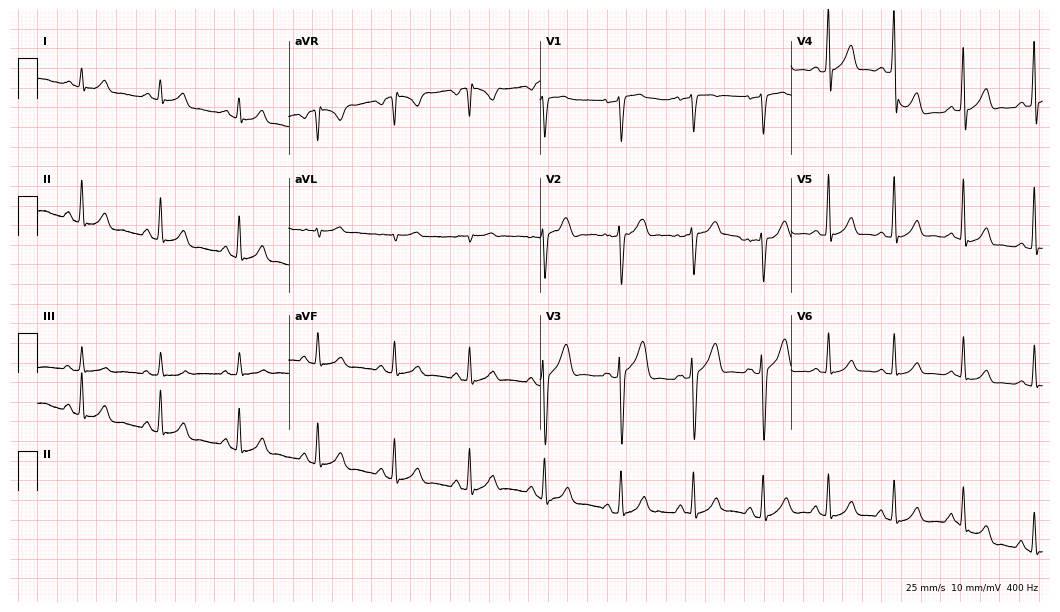
ECG (10.2-second recording at 400 Hz) — a 35-year-old male patient. Labelled as a normal ECG.